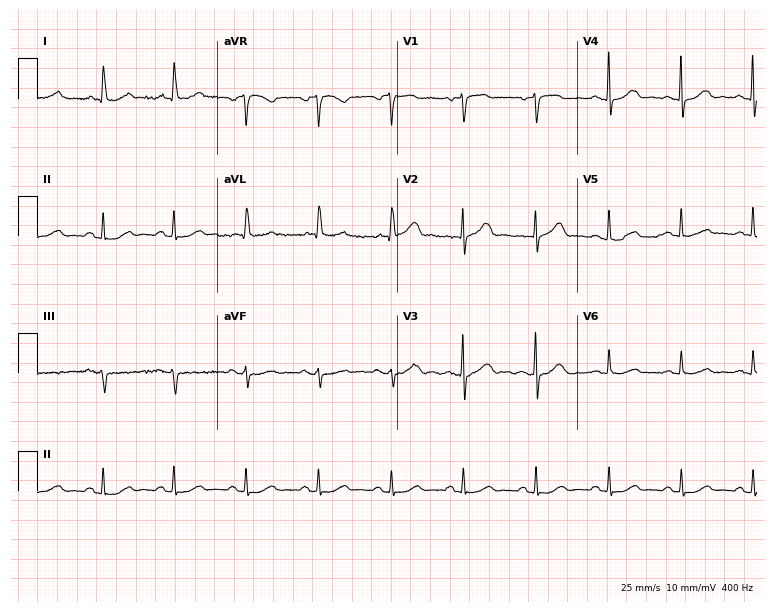
Resting 12-lead electrocardiogram (7.3-second recording at 400 Hz). Patient: an 85-year-old woman. Read as a normal ECG.